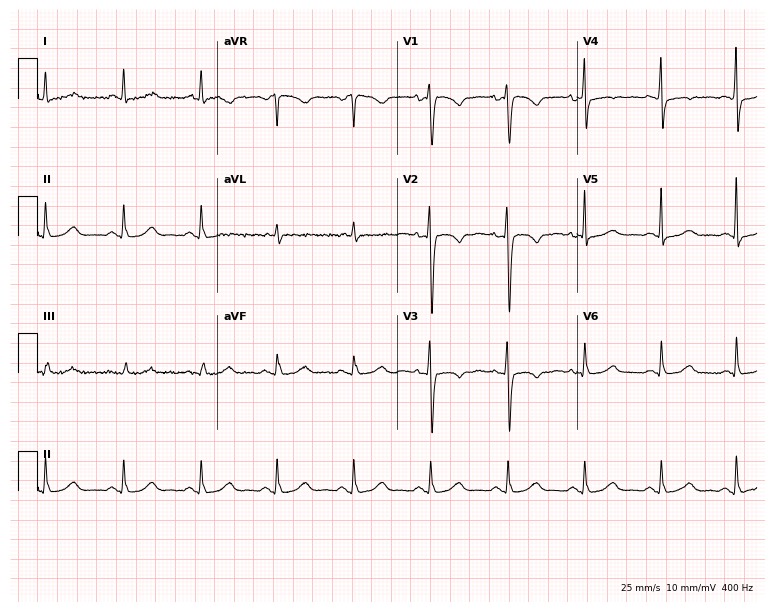
Standard 12-lead ECG recorded from a female patient, 50 years old. None of these six findings is recorded: first-degree AV block, right bundle branch block, left bundle branch block, sinus bradycardia, atrial fibrillation, sinus tachycardia. Only these six findings were labelled.